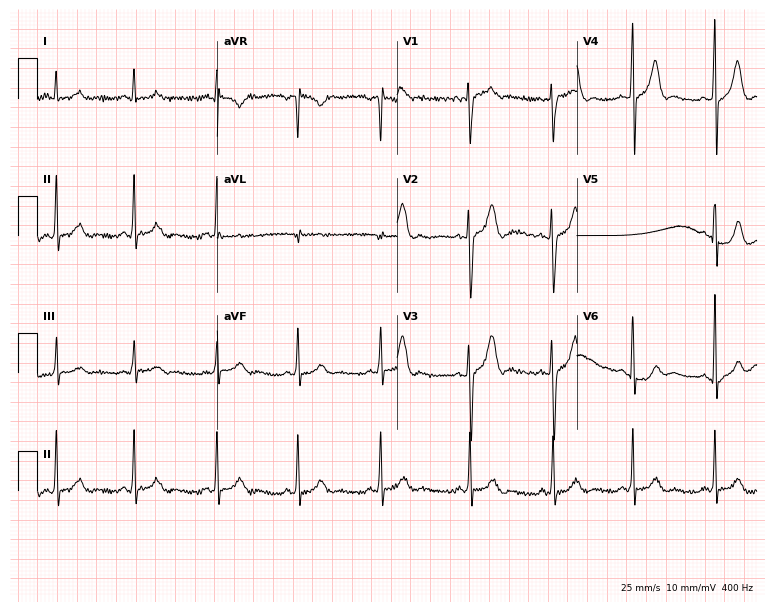
Resting 12-lead electrocardiogram. Patient: an 18-year-old male. None of these six findings is recorded: first-degree AV block, right bundle branch block, left bundle branch block, sinus bradycardia, atrial fibrillation, sinus tachycardia. Findings outside these six are not listed.